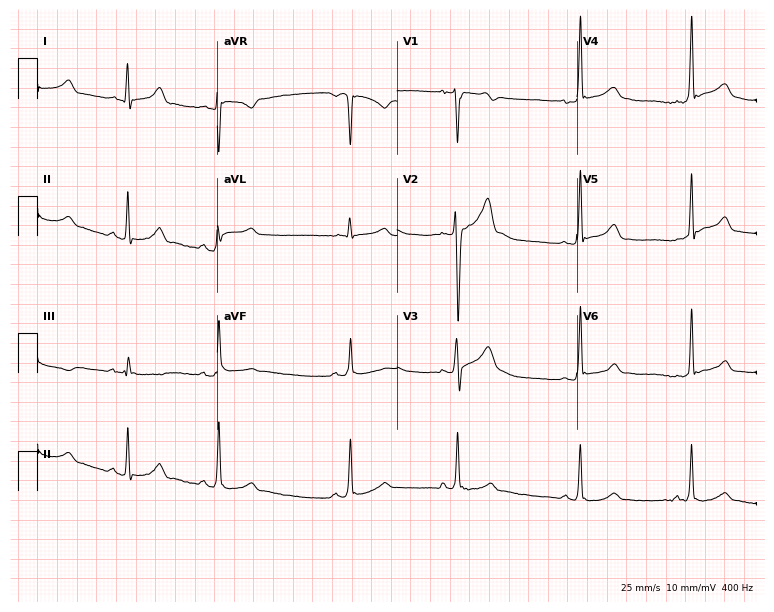
12-lead ECG (7.3-second recording at 400 Hz) from an 18-year-old male. Screened for six findings — first-degree AV block, right bundle branch block (RBBB), left bundle branch block (LBBB), sinus bradycardia, atrial fibrillation (AF), sinus tachycardia — none is recorded.